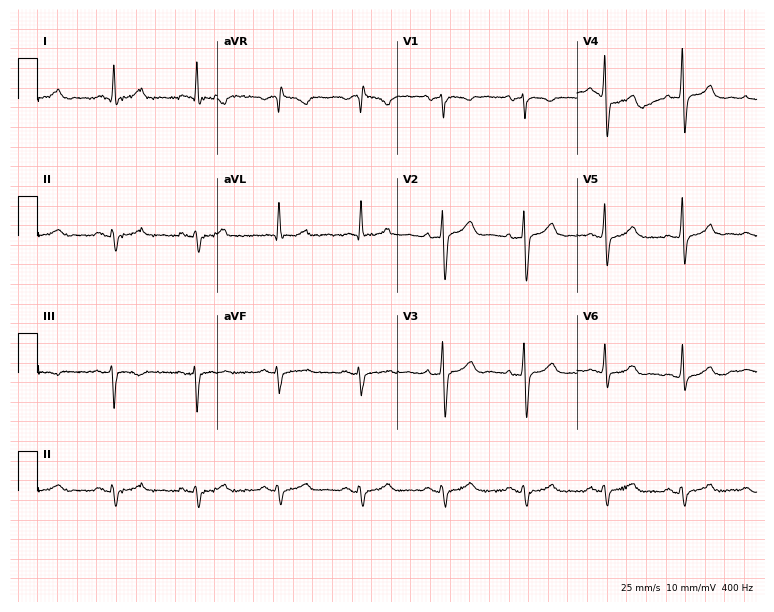
Resting 12-lead electrocardiogram. Patient: a male, 84 years old. None of these six findings is recorded: first-degree AV block, right bundle branch block, left bundle branch block, sinus bradycardia, atrial fibrillation, sinus tachycardia. Findings outside these six are not listed.